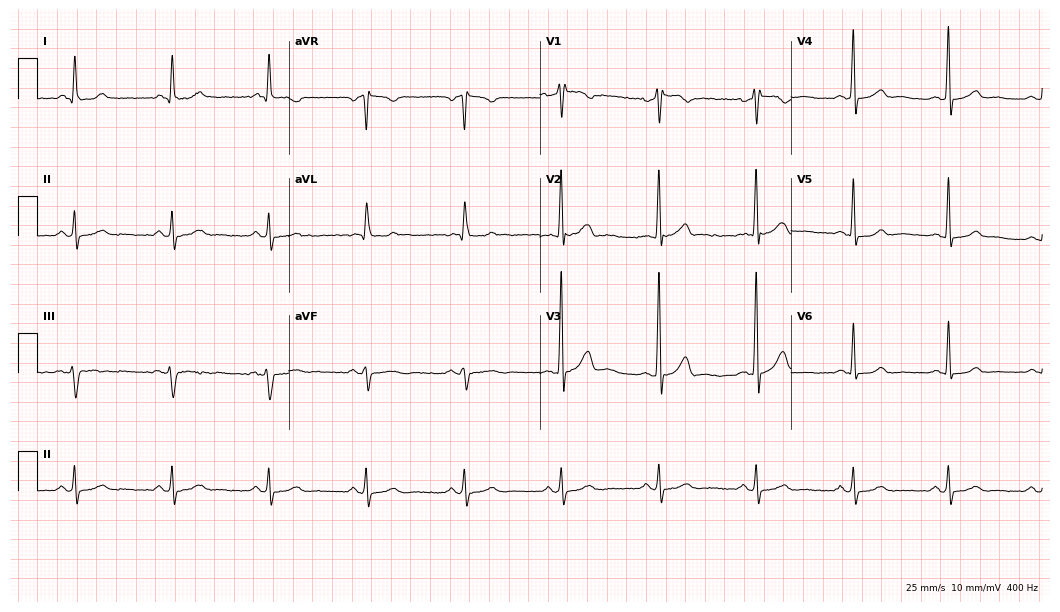
12-lead ECG from a woman, 52 years old. Recorded interpretation: within normal limits.